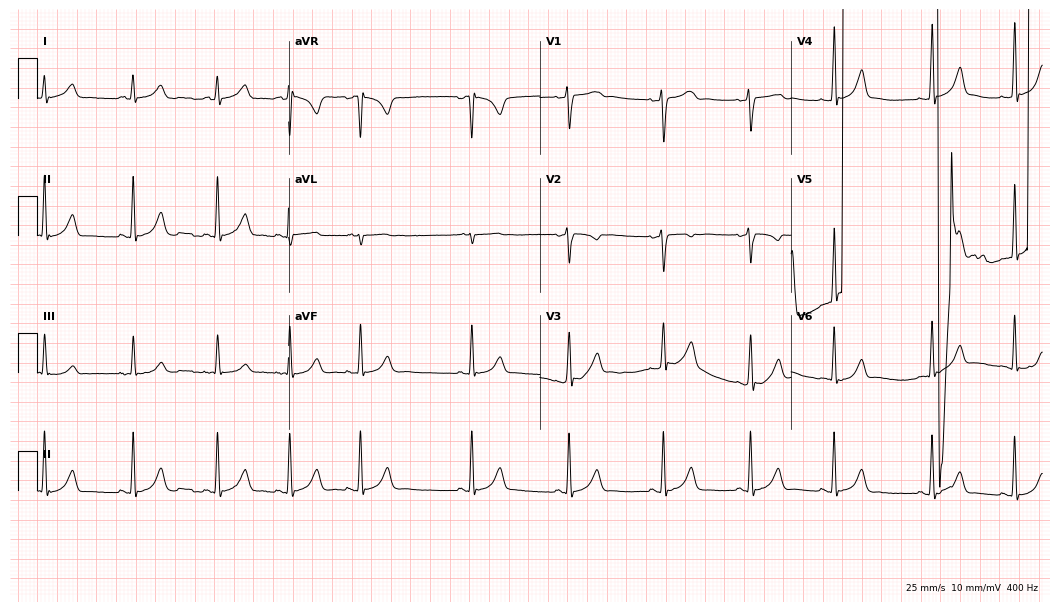
Resting 12-lead electrocardiogram. Patient: a female, 35 years old. None of these six findings is recorded: first-degree AV block, right bundle branch block, left bundle branch block, sinus bradycardia, atrial fibrillation, sinus tachycardia.